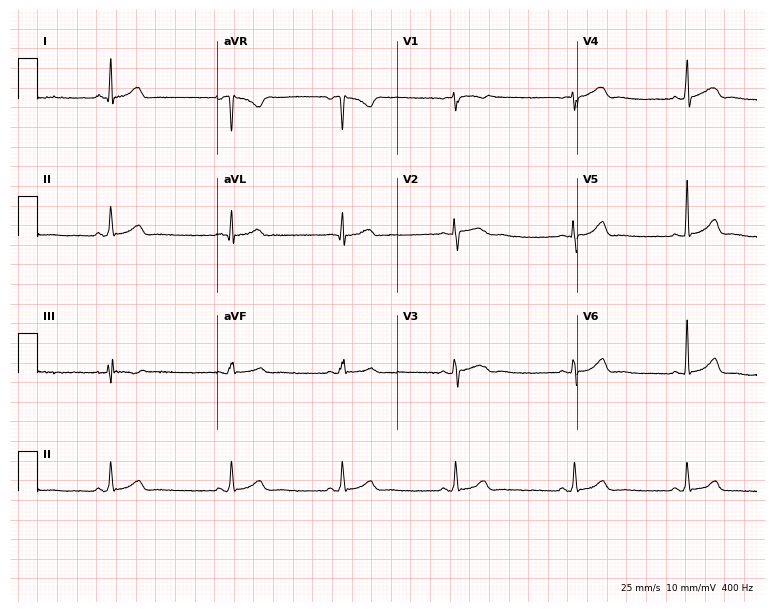
Resting 12-lead electrocardiogram. Patient: a 21-year-old female. Read as a normal ECG.